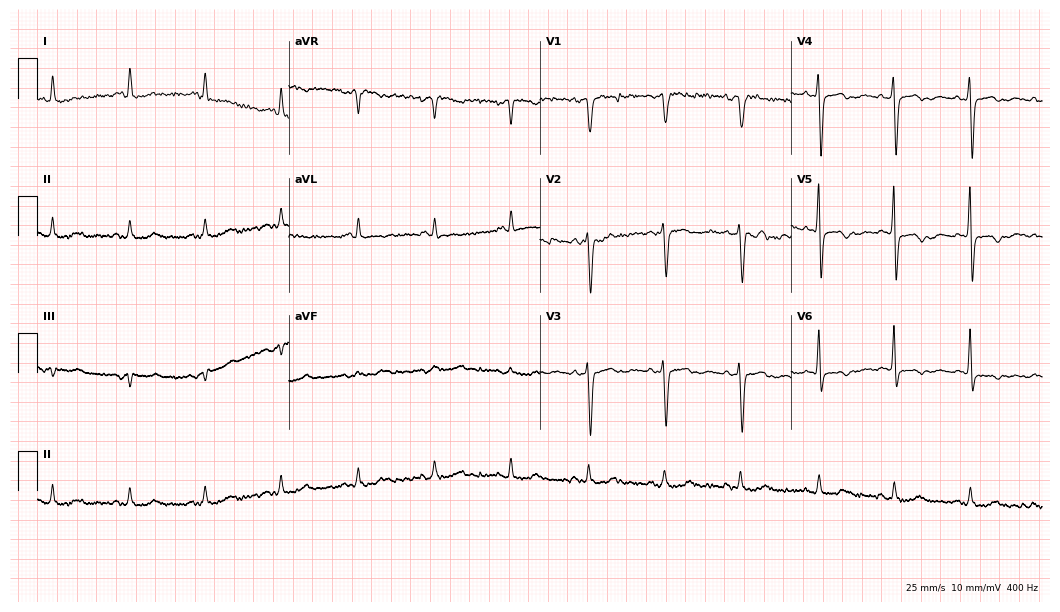
Standard 12-lead ECG recorded from a 73-year-old female (10.2-second recording at 400 Hz). None of these six findings is recorded: first-degree AV block, right bundle branch block (RBBB), left bundle branch block (LBBB), sinus bradycardia, atrial fibrillation (AF), sinus tachycardia. Only these six findings were labelled.